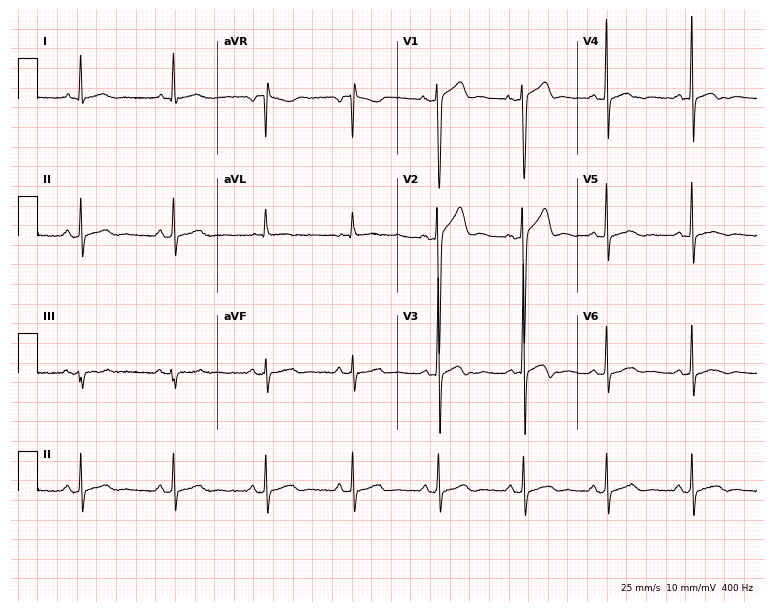
12-lead ECG (7.3-second recording at 400 Hz) from a 30-year-old male. Labelled as a normal ECG.